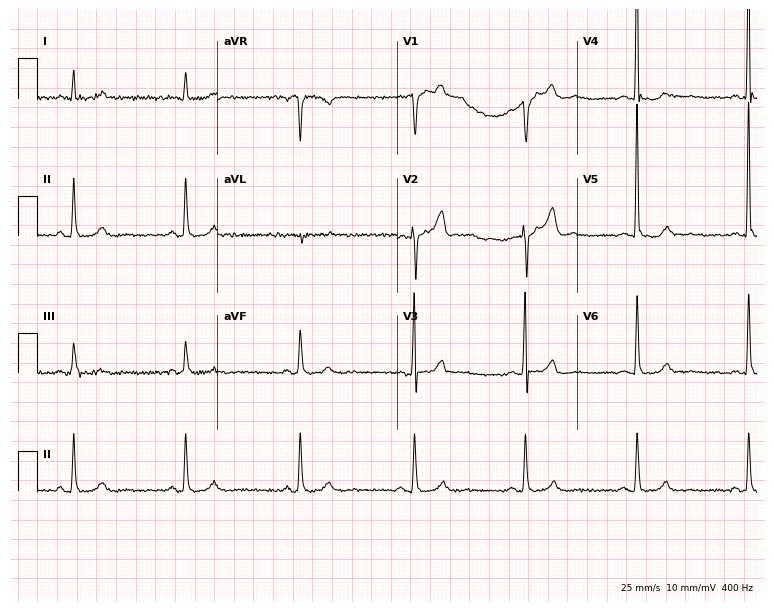
ECG (7.3-second recording at 400 Hz) — a male, 69 years old. Labelled as a normal ECG.